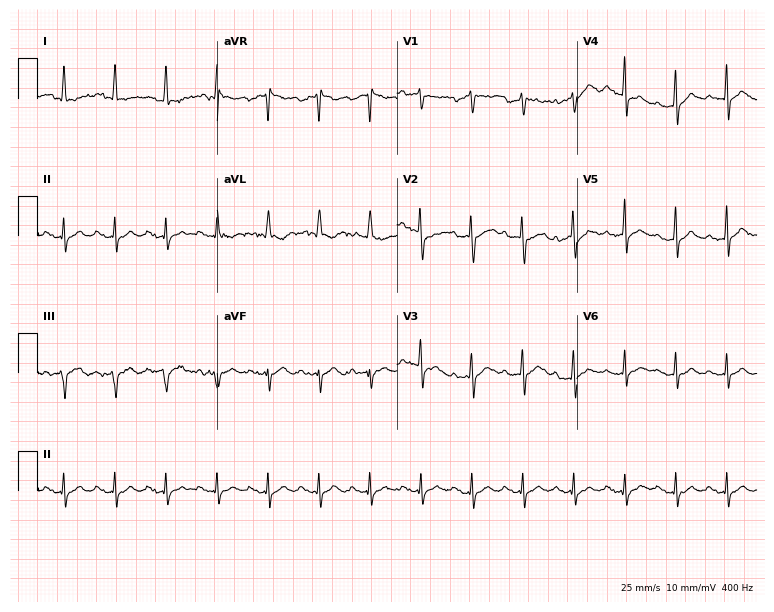
ECG (7.3-second recording at 400 Hz) — a female patient, 76 years old. Findings include sinus tachycardia (a sinus rate of 100 beats per minute or more).